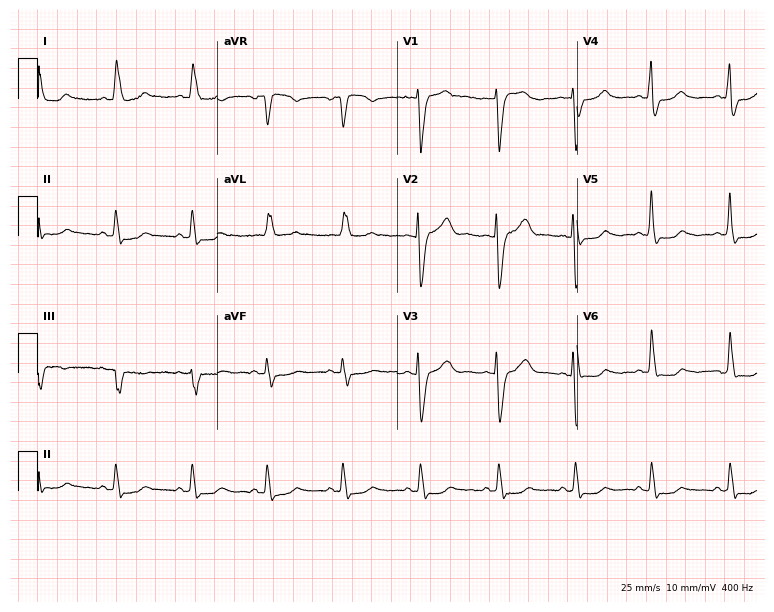
Resting 12-lead electrocardiogram (7.3-second recording at 400 Hz). Patient: a female, 56 years old. None of these six findings is recorded: first-degree AV block, right bundle branch block, left bundle branch block, sinus bradycardia, atrial fibrillation, sinus tachycardia. Only these six findings were labelled.